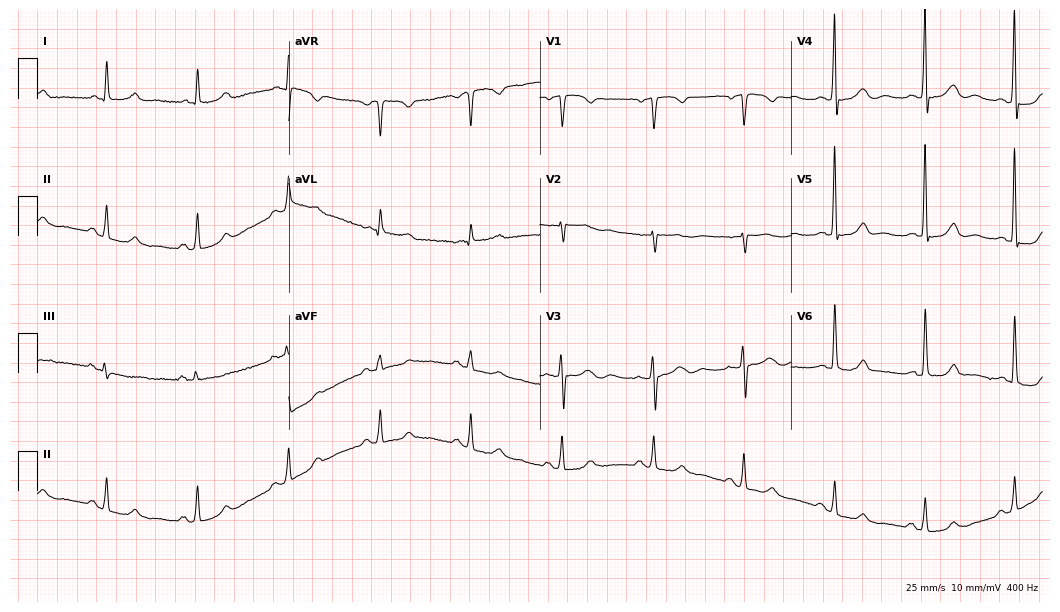
ECG — a female patient, 69 years old. Labelled as a normal ECG.